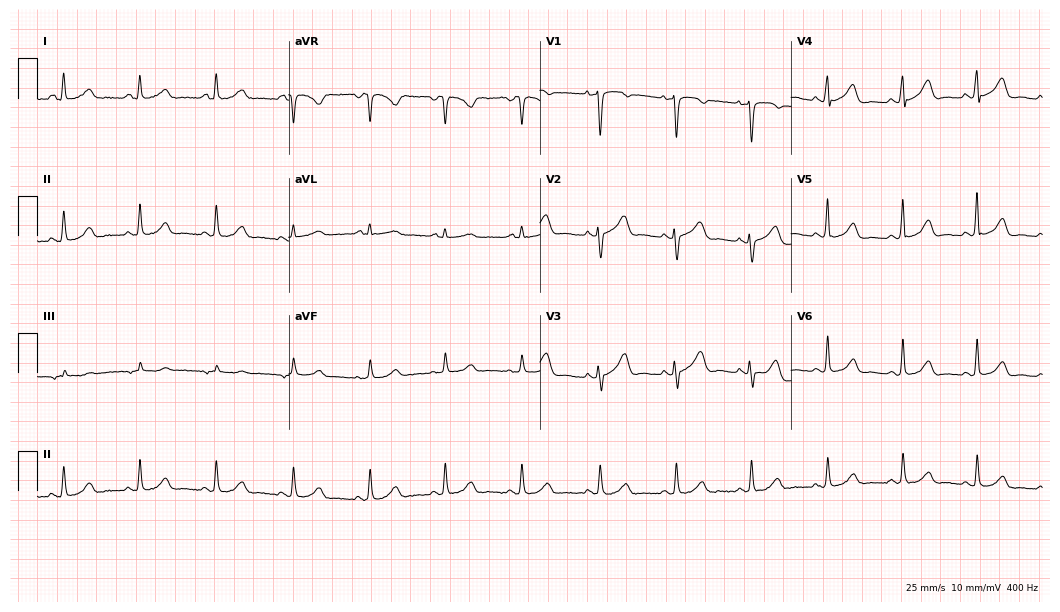
Standard 12-lead ECG recorded from a female, 44 years old. None of these six findings is recorded: first-degree AV block, right bundle branch block, left bundle branch block, sinus bradycardia, atrial fibrillation, sinus tachycardia. Findings outside these six are not listed.